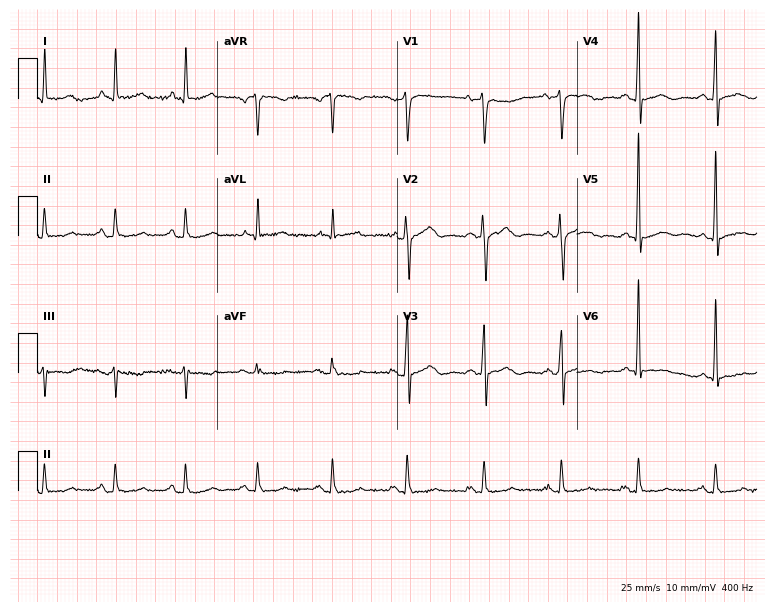
Electrocardiogram (7.3-second recording at 400 Hz), a man, 83 years old. Overall reading on record: normal ECG.